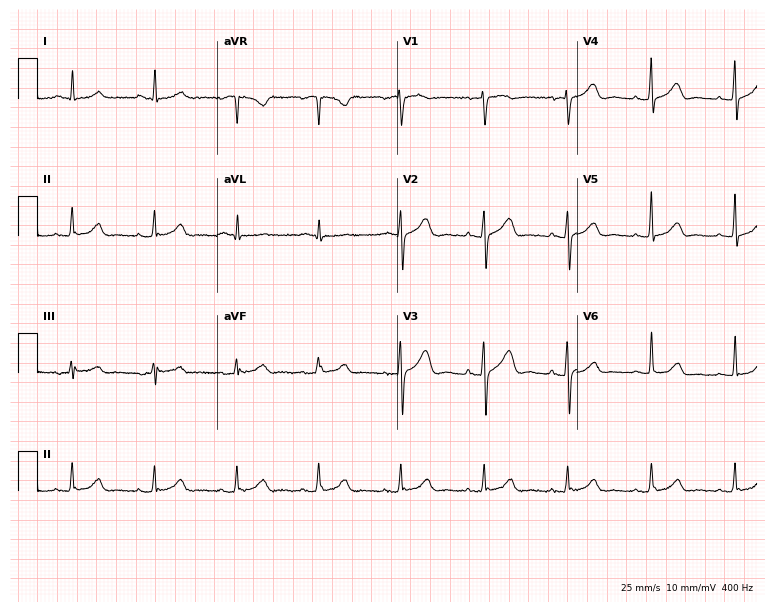
Electrocardiogram, a 74-year-old woman. Overall reading on record: normal ECG.